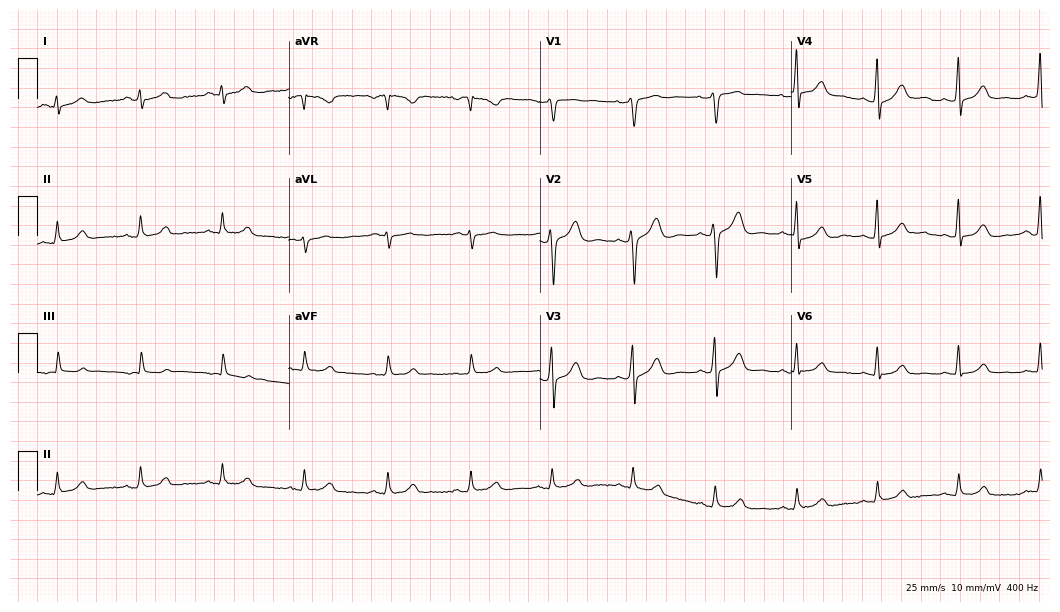
Electrocardiogram (10.2-second recording at 400 Hz), a 55-year-old male. Overall reading on record: normal ECG.